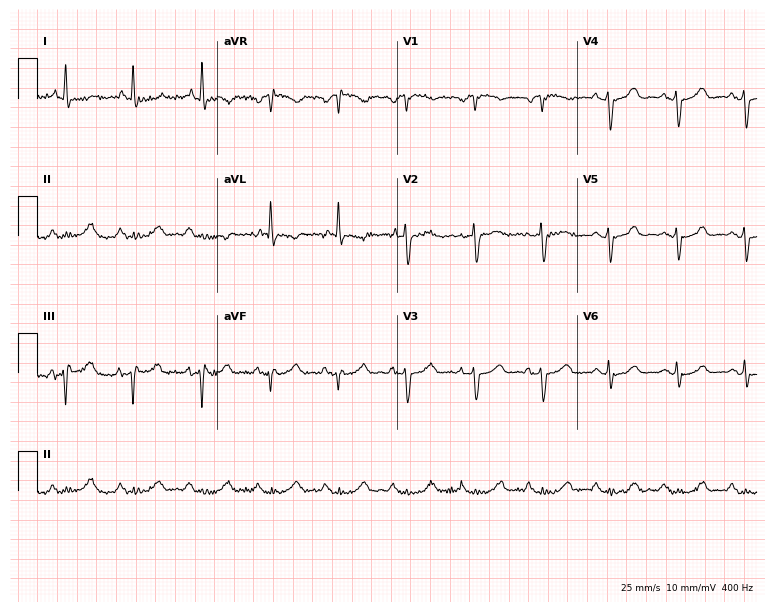
ECG — a 77-year-old woman. Screened for six findings — first-degree AV block, right bundle branch block (RBBB), left bundle branch block (LBBB), sinus bradycardia, atrial fibrillation (AF), sinus tachycardia — none is recorded.